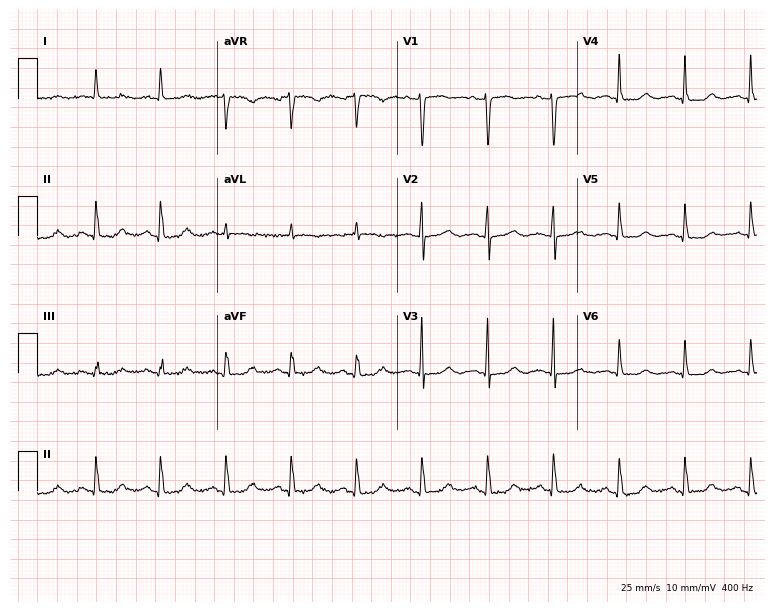
ECG — a female patient, 74 years old. Screened for six findings — first-degree AV block, right bundle branch block (RBBB), left bundle branch block (LBBB), sinus bradycardia, atrial fibrillation (AF), sinus tachycardia — none is recorded.